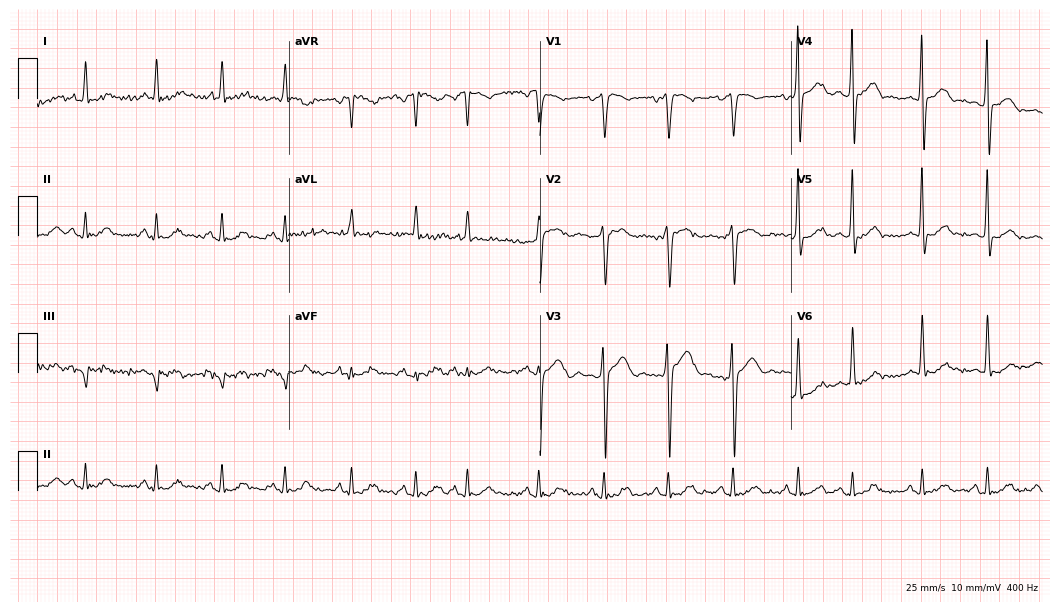
ECG (10.2-second recording at 400 Hz) — a male, 69 years old. Screened for six findings — first-degree AV block, right bundle branch block, left bundle branch block, sinus bradycardia, atrial fibrillation, sinus tachycardia — none is recorded.